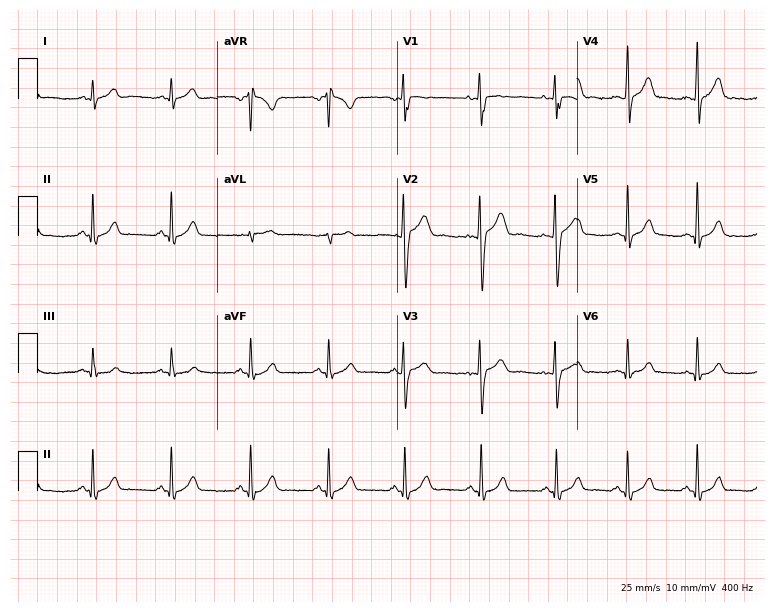
12-lead ECG from a male patient, 21 years old. Recorded interpretation: within normal limits.